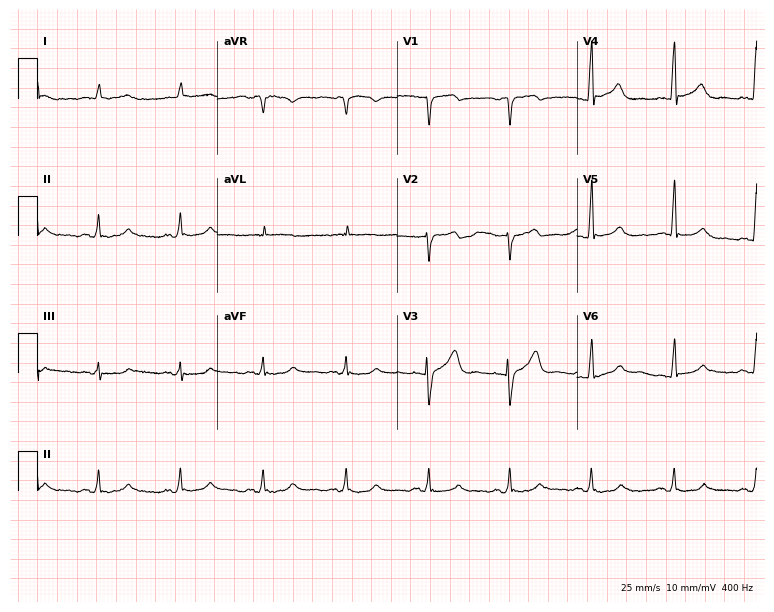
Resting 12-lead electrocardiogram. Patient: an 84-year-old male. None of these six findings is recorded: first-degree AV block, right bundle branch block, left bundle branch block, sinus bradycardia, atrial fibrillation, sinus tachycardia. Only these six findings were labelled.